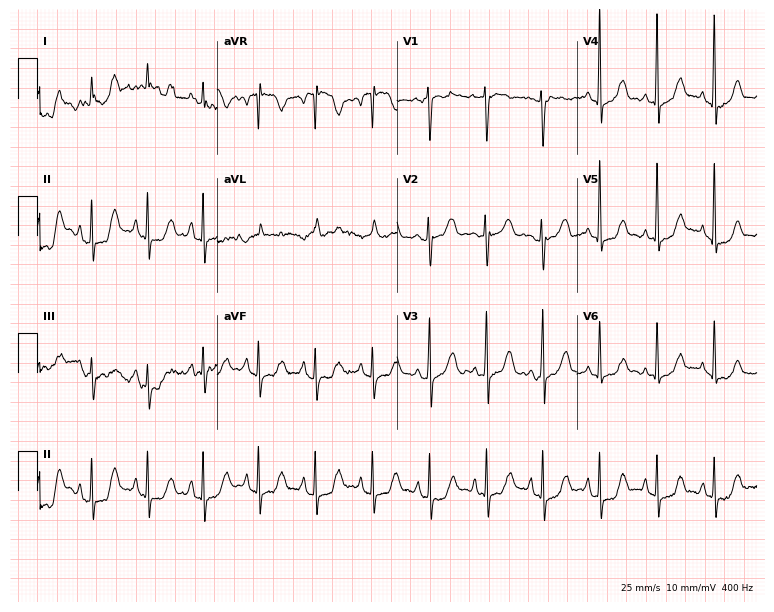
Standard 12-lead ECG recorded from a 64-year-old female. Read as a normal ECG.